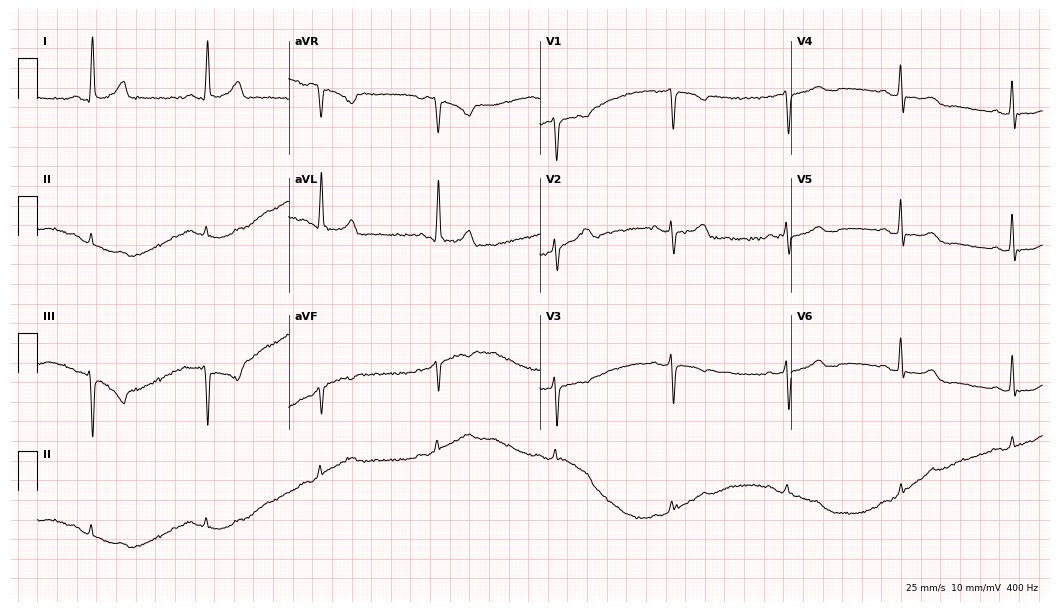
Resting 12-lead electrocardiogram. Patient: a man, 80 years old. Read as a normal ECG.